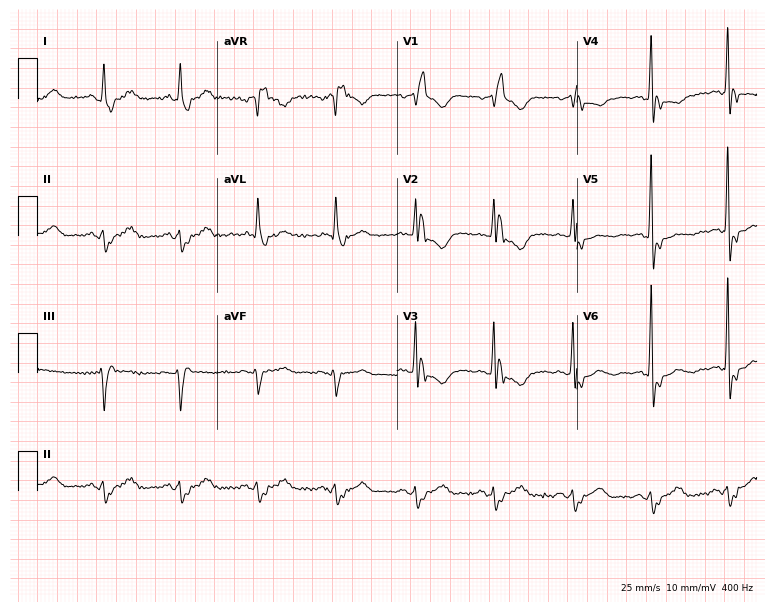
Resting 12-lead electrocardiogram (7.3-second recording at 400 Hz). Patient: a female, 74 years old. The tracing shows right bundle branch block.